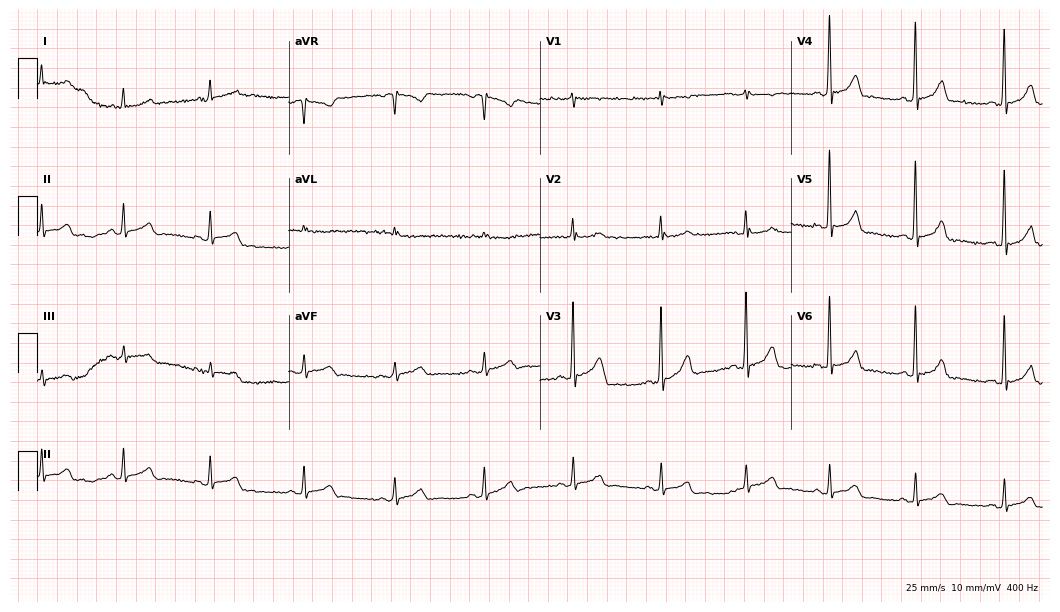
Resting 12-lead electrocardiogram (10.2-second recording at 400 Hz). Patient: a male, 51 years old. None of these six findings is recorded: first-degree AV block, right bundle branch block, left bundle branch block, sinus bradycardia, atrial fibrillation, sinus tachycardia.